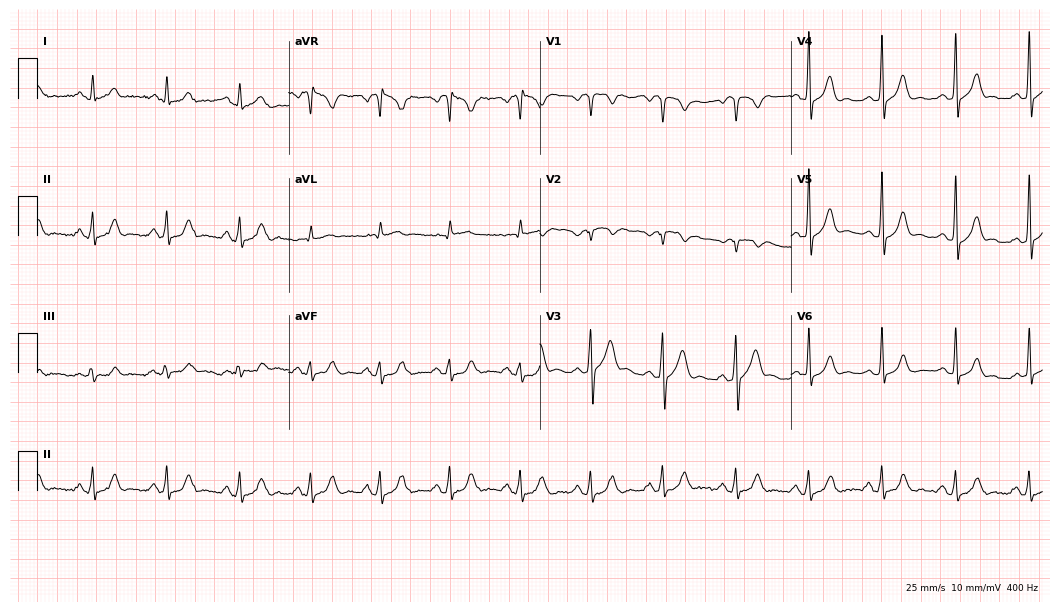
12-lead ECG from a male patient, 45 years old. No first-degree AV block, right bundle branch block (RBBB), left bundle branch block (LBBB), sinus bradycardia, atrial fibrillation (AF) or sinus tachycardia recorded for this tracing. Findings outside these six are not listed.